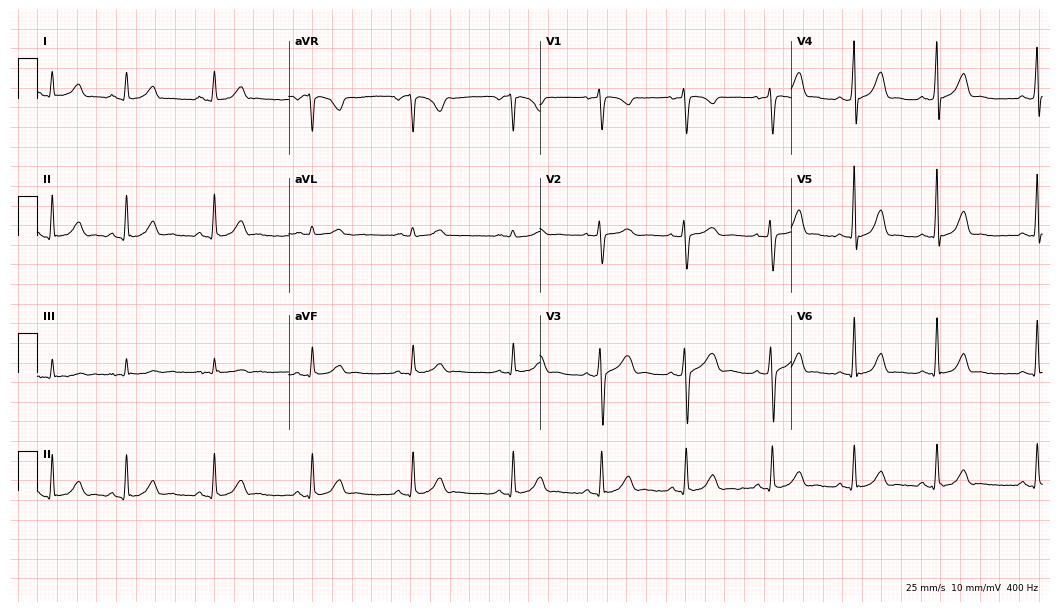
12-lead ECG (10.2-second recording at 400 Hz) from a female, 19 years old. Labelled as a normal ECG.